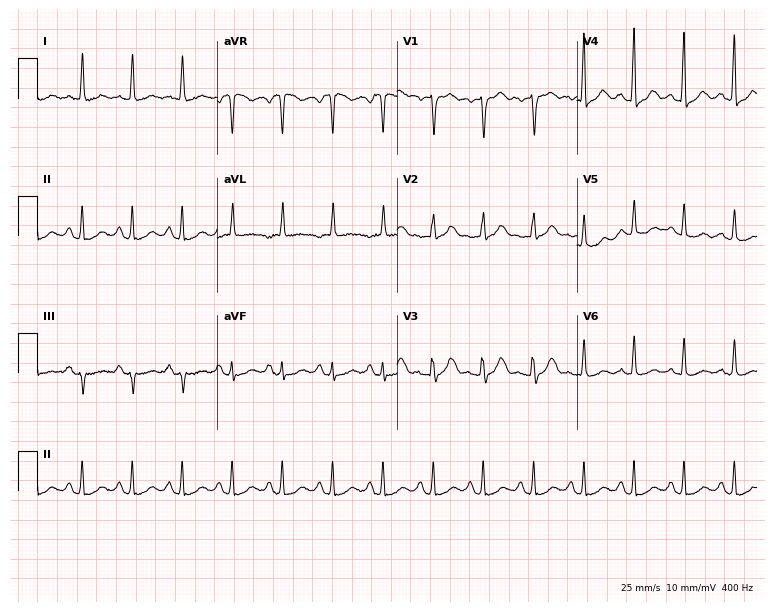
12-lead ECG from a female, 52 years old. Findings include sinus tachycardia (a sinus rate of 100 beats per minute or more).